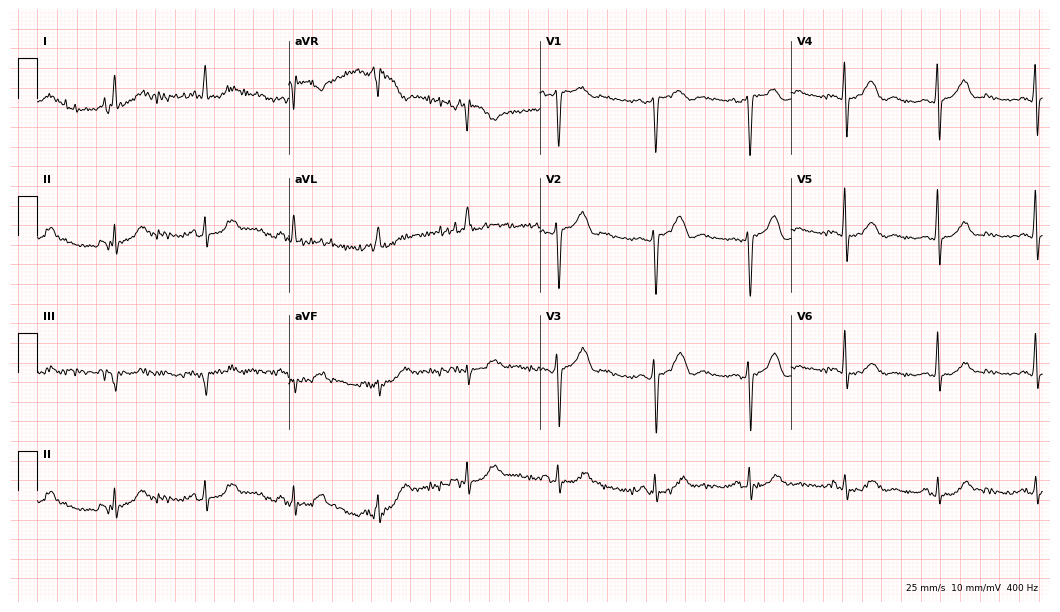
Electrocardiogram (10.2-second recording at 400 Hz), a 77-year-old woman. Of the six screened findings (first-degree AV block, right bundle branch block, left bundle branch block, sinus bradycardia, atrial fibrillation, sinus tachycardia), none is recorded.